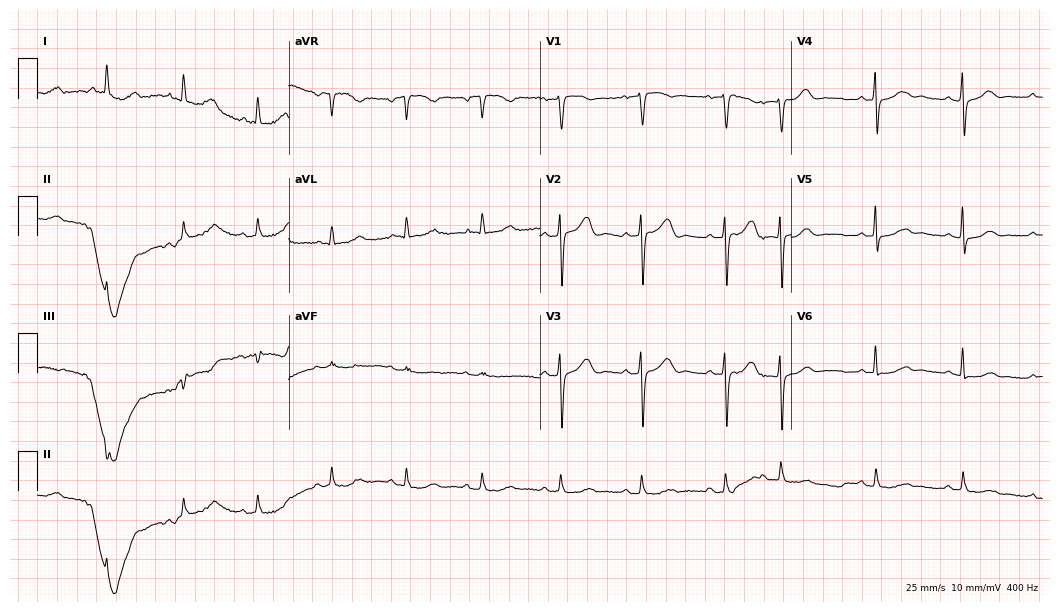
Electrocardiogram (10.2-second recording at 400 Hz), a female, 63 years old. Overall reading on record: normal ECG.